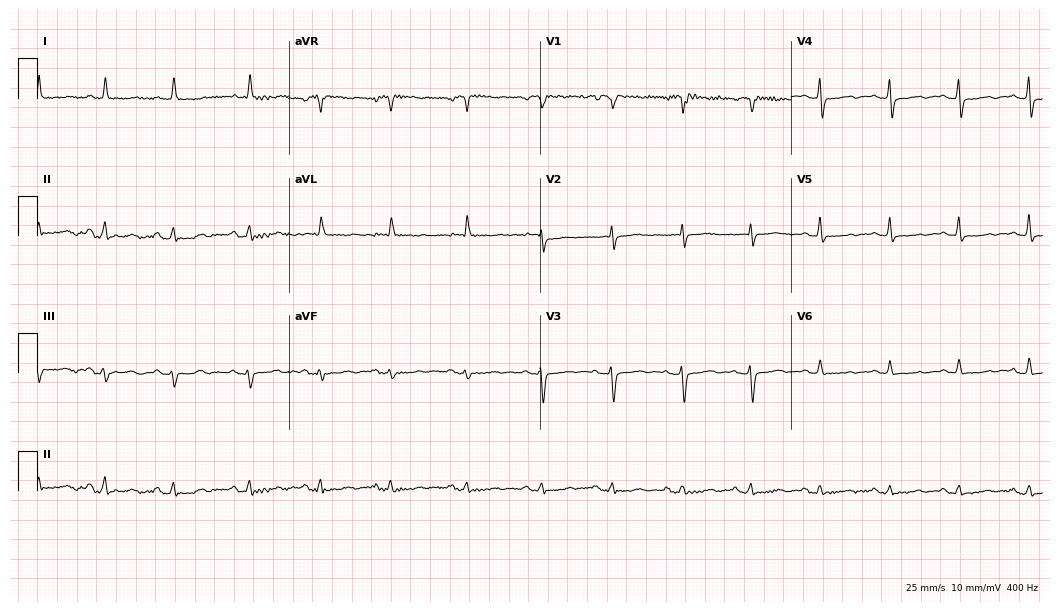
12-lead ECG from a female patient, 81 years old. Screened for six findings — first-degree AV block, right bundle branch block, left bundle branch block, sinus bradycardia, atrial fibrillation, sinus tachycardia — none is recorded.